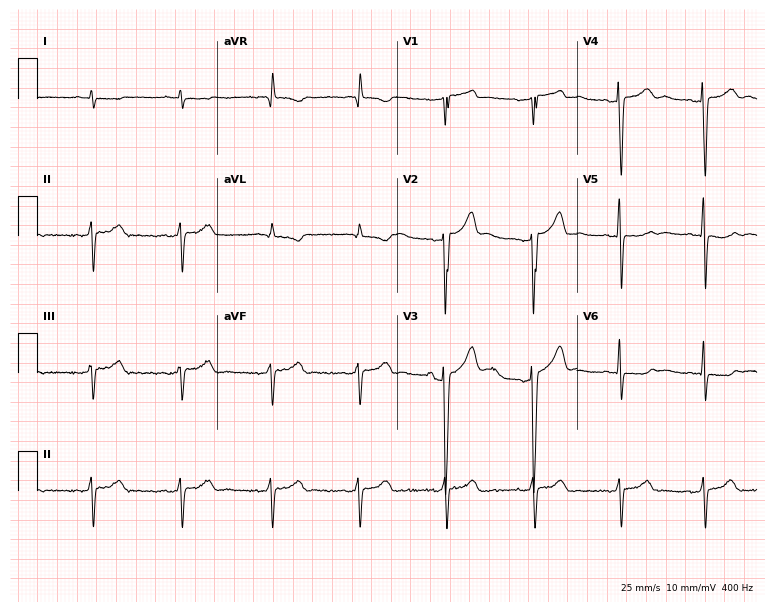
12-lead ECG from a male patient, 34 years old. No first-degree AV block, right bundle branch block, left bundle branch block, sinus bradycardia, atrial fibrillation or sinus tachycardia recorded for this tracing.